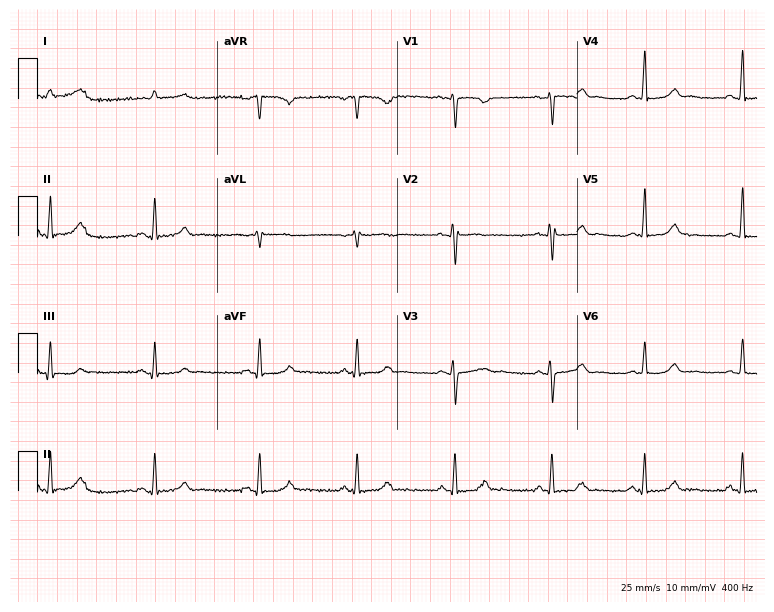
Standard 12-lead ECG recorded from a female, 44 years old (7.3-second recording at 400 Hz). None of these six findings is recorded: first-degree AV block, right bundle branch block (RBBB), left bundle branch block (LBBB), sinus bradycardia, atrial fibrillation (AF), sinus tachycardia. Findings outside these six are not listed.